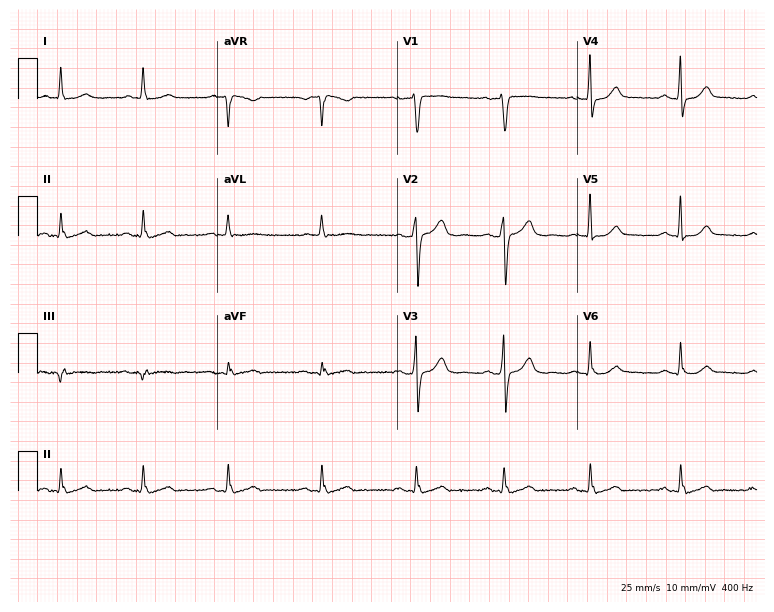
Resting 12-lead electrocardiogram. Patient: a 45-year-old female. Read as a normal ECG.